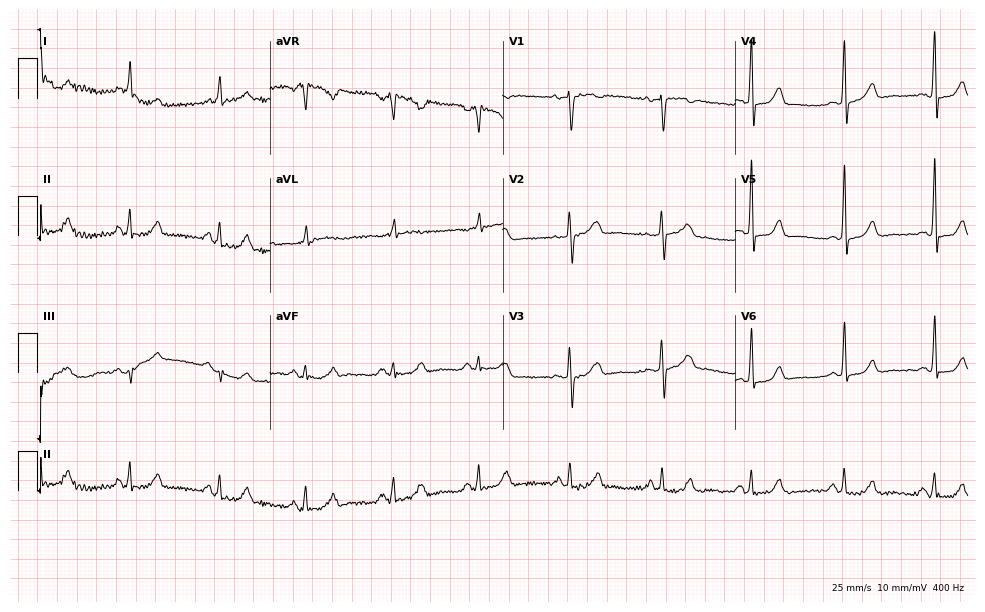
ECG — a woman, 44 years old. Screened for six findings — first-degree AV block, right bundle branch block, left bundle branch block, sinus bradycardia, atrial fibrillation, sinus tachycardia — none is recorded. Only these six findings were labelled.